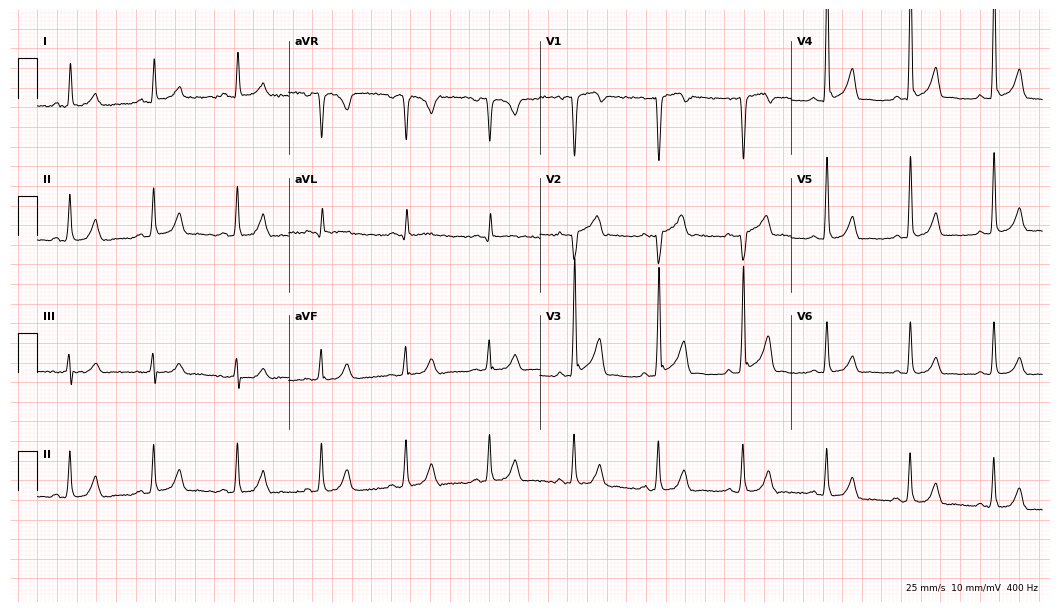
12-lead ECG from a man, 58 years old. Screened for six findings — first-degree AV block, right bundle branch block, left bundle branch block, sinus bradycardia, atrial fibrillation, sinus tachycardia — none is recorded. Only these six findings were labelled.